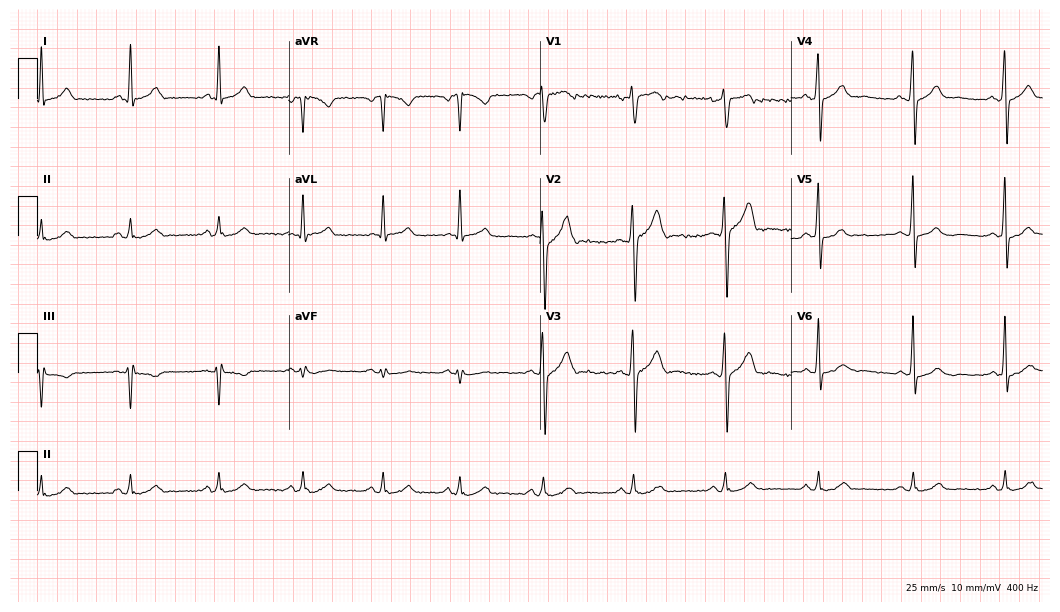
12-lead ECG from a male, 54 years old. Labelled as a normal ECG.